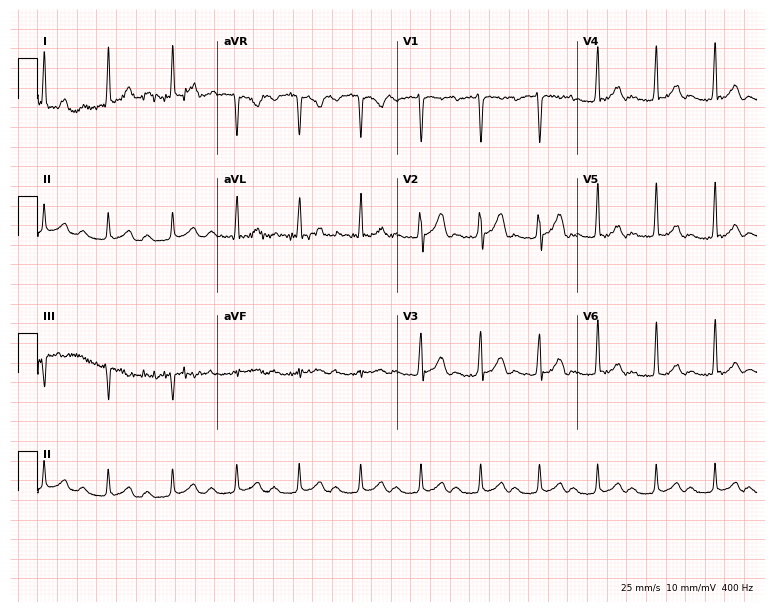
Standard 12-lead ECG recorded from a man, 31 years old (7.3-second recording at 400 Hz). The tracing shows first-degree AV block.